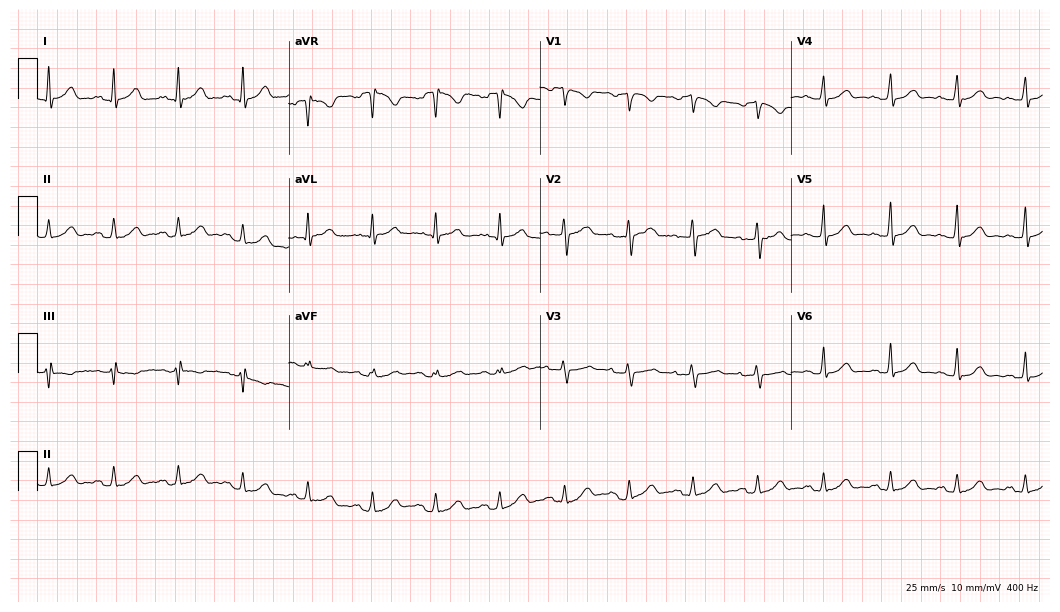
Resting 12-lead electrocardiogram (10.2-second recording at 400 Hz). Patient: a female, 42 years old. Read as a normal ECG.